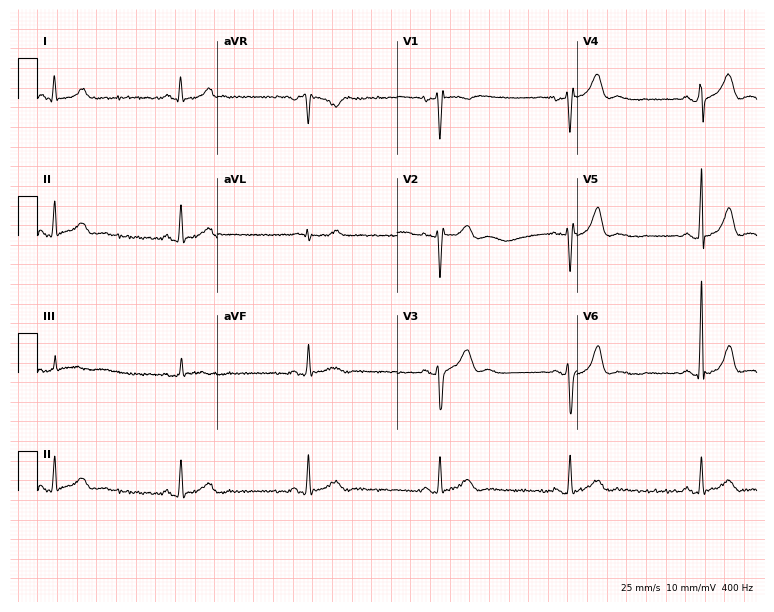
12-lead ECG from a man, 38 years old. Recorded interpretation: within normal limits.